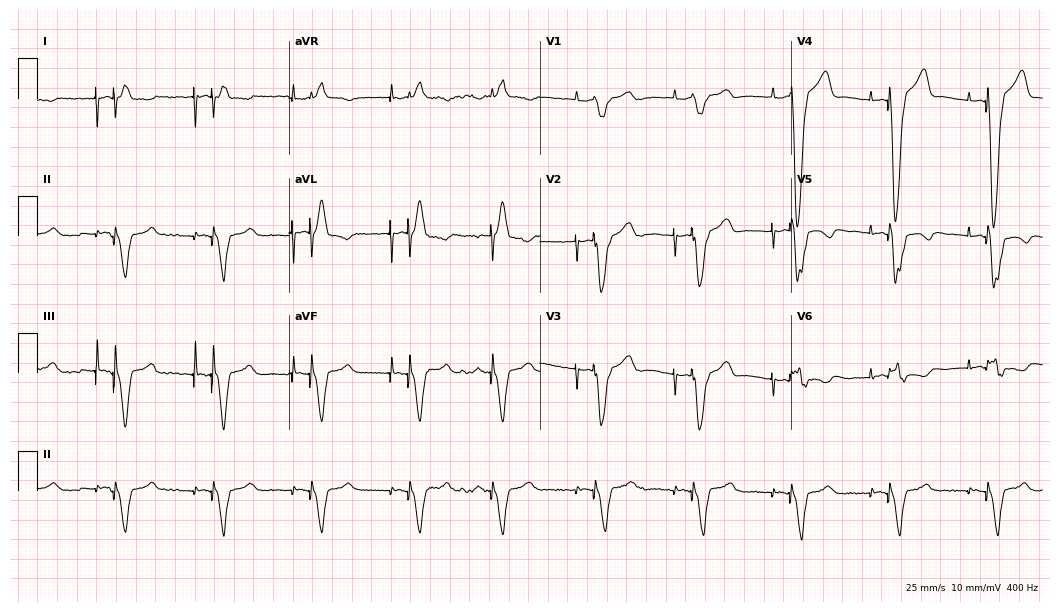
Resting 12-lead electrocardiogram (10.2-second recording at 400 Hz). Patient: an 83-year-old male. None of these six findings is recorded: first-degree AV block, right bundle branch block (RBBB), left bundle branch block (LBBB), sinus bradycardia, atrial fibrillation (AF), sinus tachycardia. Findings outside these six are not listed.